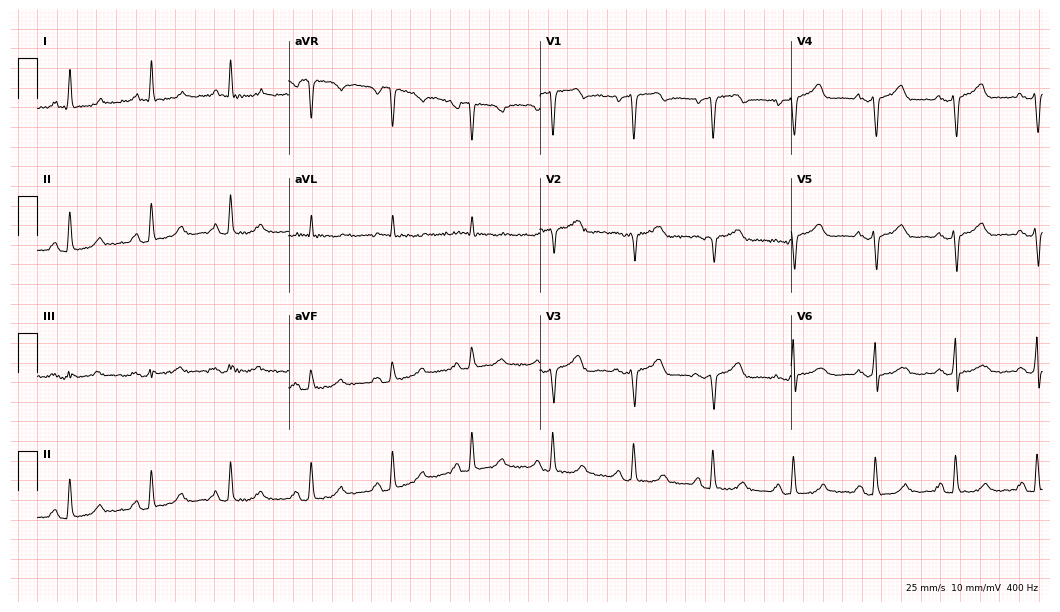
Standard 12-lead ECG recorded from a female, 81 years old (10.2-second recording at 400 Hz). Read as a normal ECG.